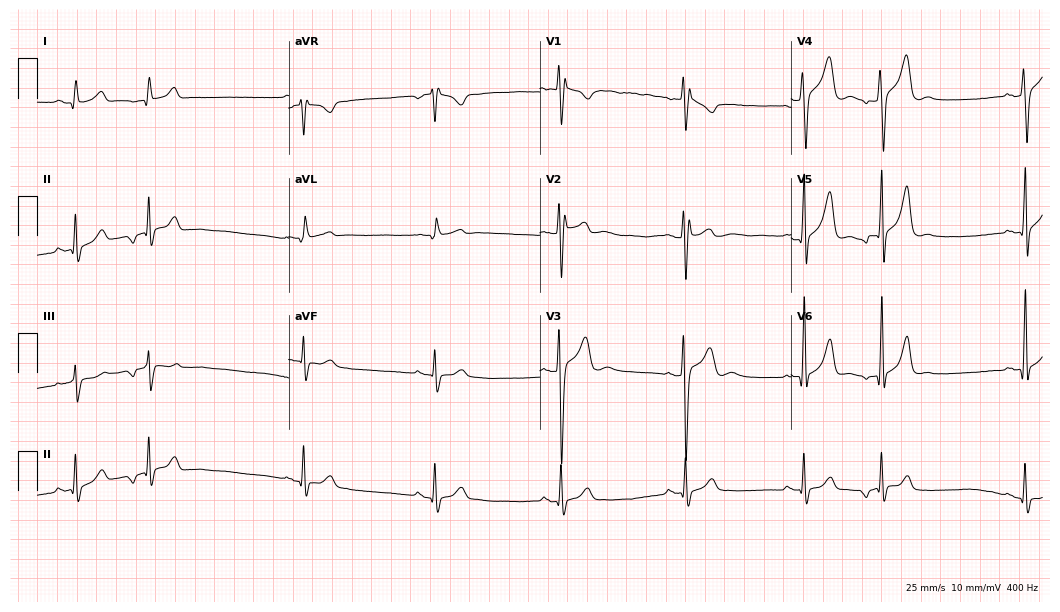
12-lead ECG from a male, 21 years old. No first-degree AV block, right bundle branch block, left bundle branch block, sinus bradycardia, atrial fibrillation or sinus tachycardia recorded for this tracing. Findings outside these six are not listed.